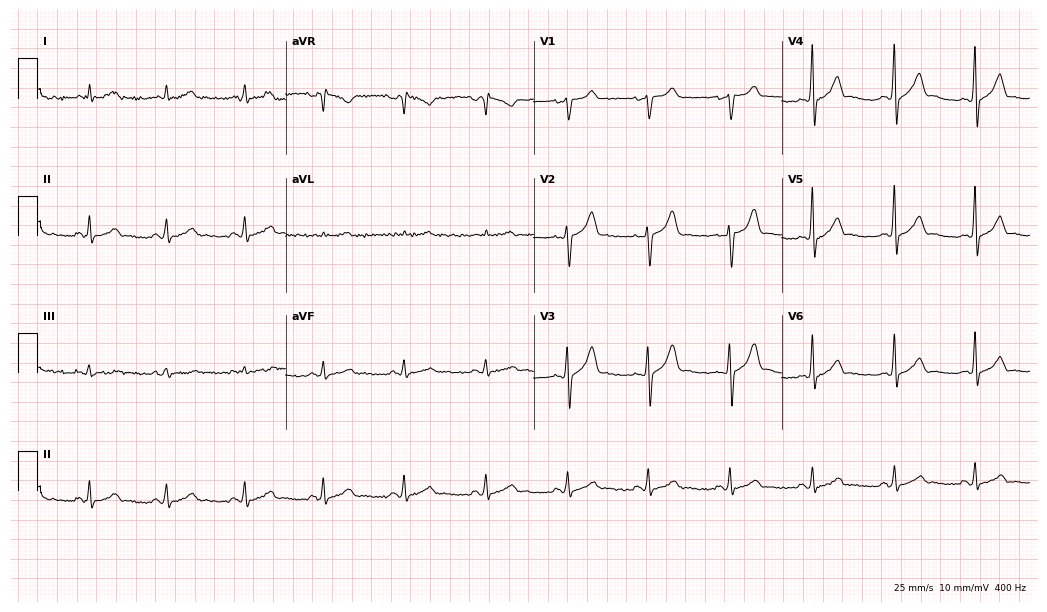
12-lead ECG from a 59-year-old man. Labelled as a normal ECG.